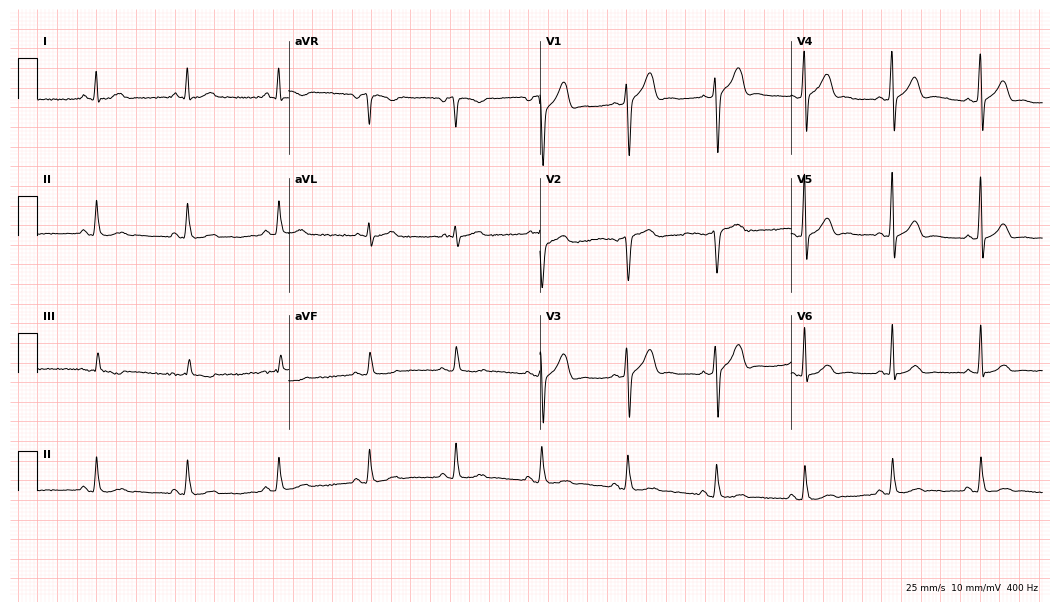
ECG — a 65-year-old man. Labelled as a normal ECG.